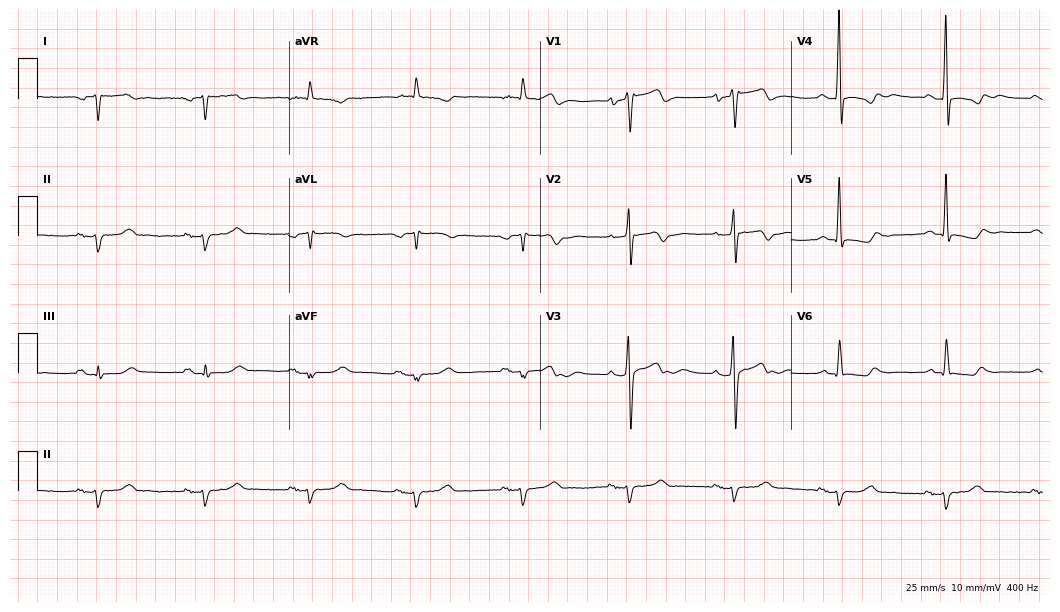
Resting 12-lead electrocardiogram (10.2-second recording at 400 Hz). Patient: a male, 66 years old. None of these six findings is recorded: first-degree AV block, right bundle branch block, left bundle branch block, sinus bradycardia, atrial fibrillation, sinus tachycardia.